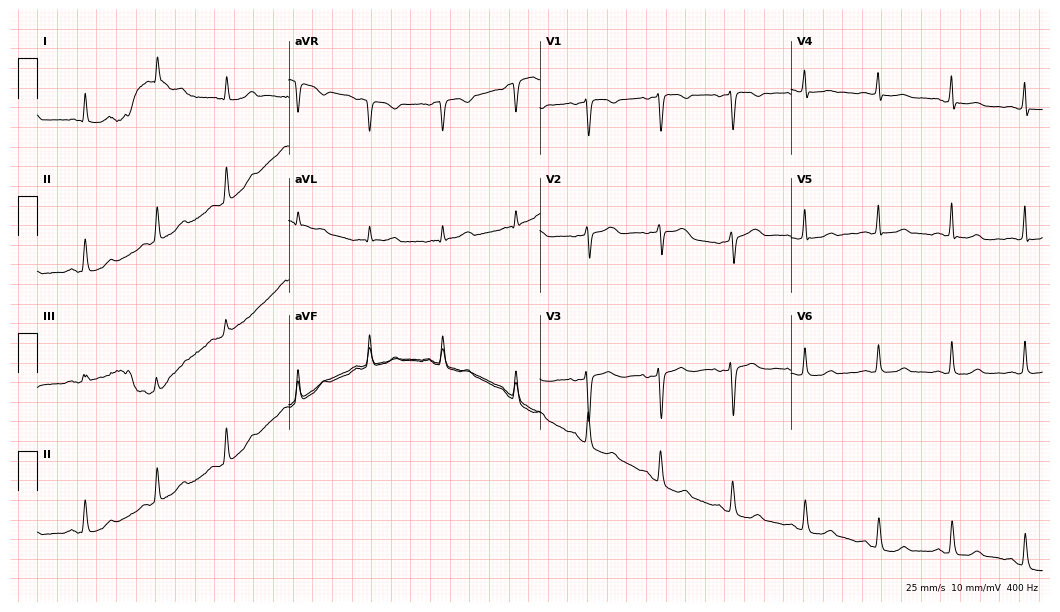
Resting 12-lead electrocardiogram. Patient: a woman, 55 years old. Read as a normal ECG.